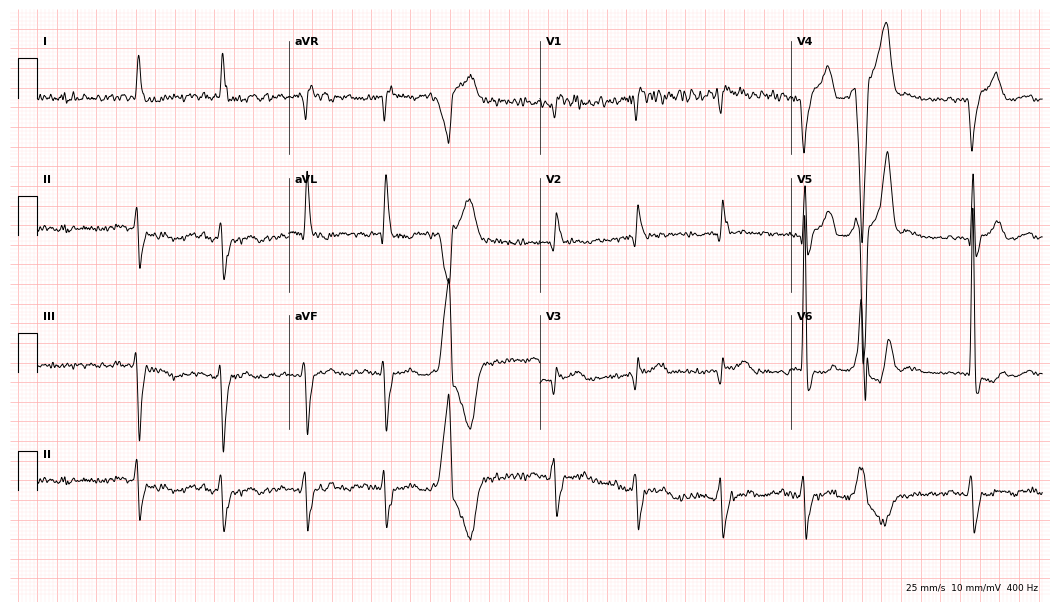
12-lead ECG from a 69-year-old man (10.2-second recording at 400 Hz). No first-degree AV block, right bundle branch block, left bundle branch block, sinus bradycardia, atrial fibrillation or sinus tachycardia recorded for this tracing. Findings outside these six are not listed.